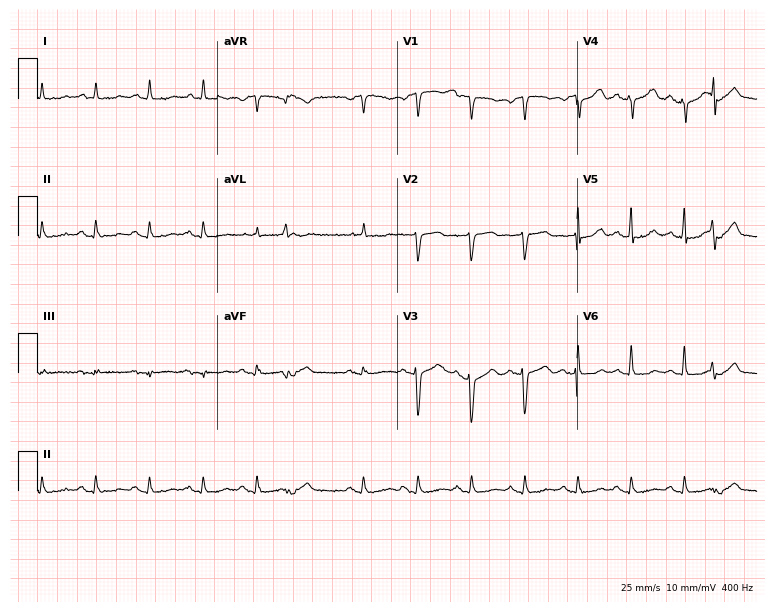
12-lead ECG (7.3-second recording at 400 Hz) from a 78-year-old female. Screened for six findings — first-degree AV block, right bundle branch block, left bundle branch block, sinus bradycardia, atrial fibrillation, sinus tachycardia — none is recorded. Findings outside these six are not listed.